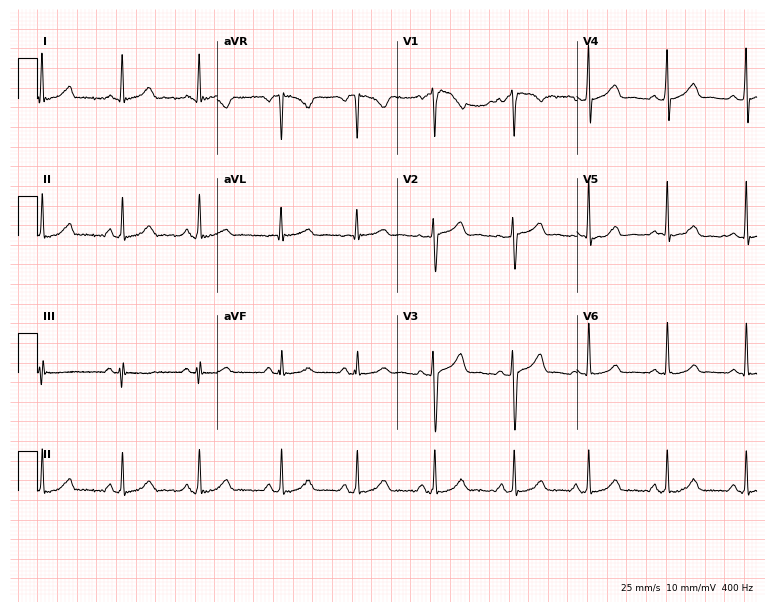
Electrocardiogram, a 24-year-old female. Overall reading on record: normal ECG.